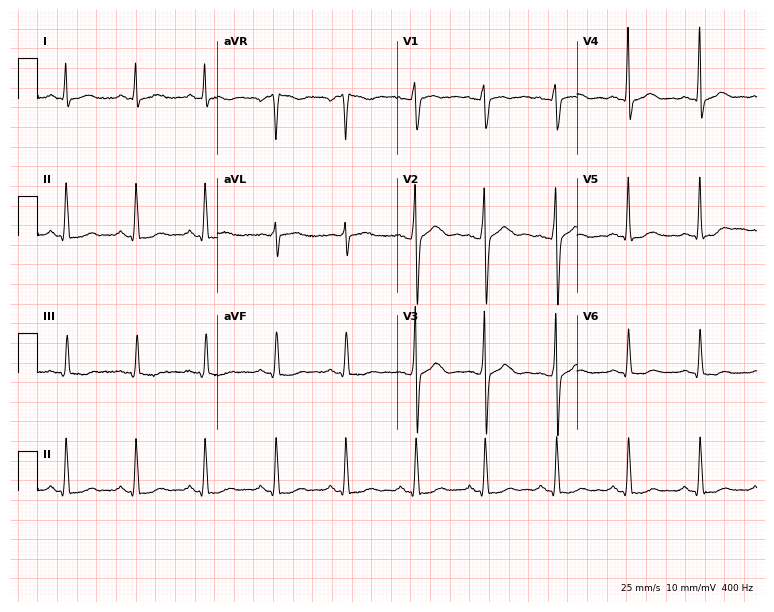
Standard 12-lead ECG recorded from a male, 45 years old. Read as a normal ECG.